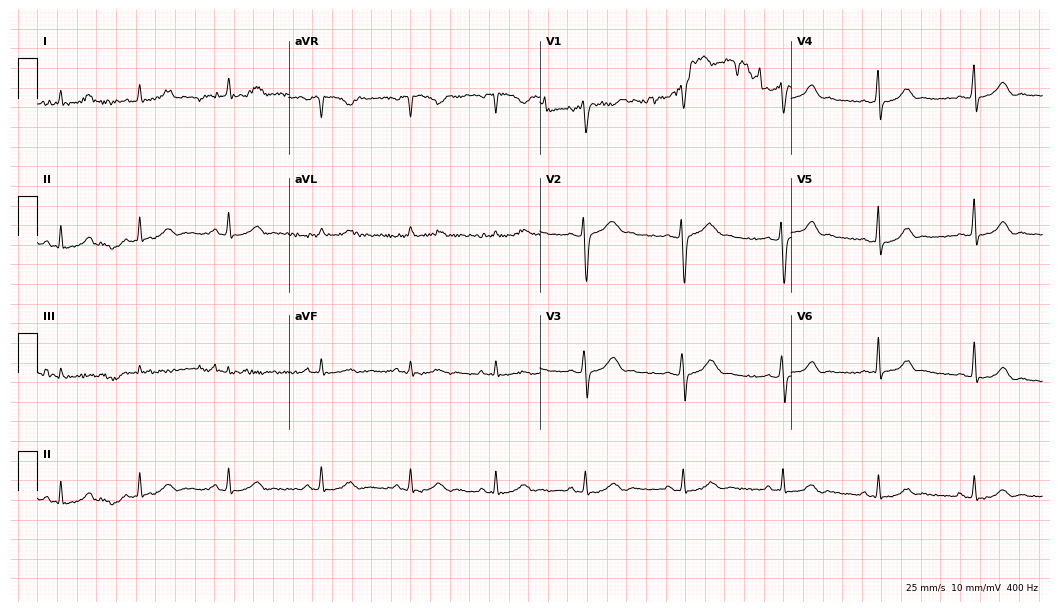
ECG — a 34-year-old woman. Screened for six findings — first-degree AV block, right bundle branch block, left bundle branch block, sinus bradycardia, atrial fibrillation, sinus tachycardia — none is recorded.